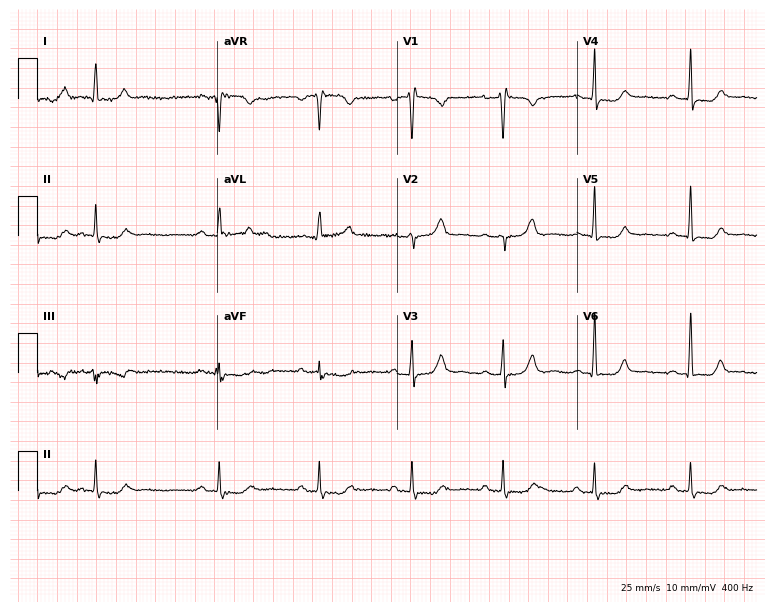
12-lead ECG from a woman, 54 years old. Labelled as a normal ECG.